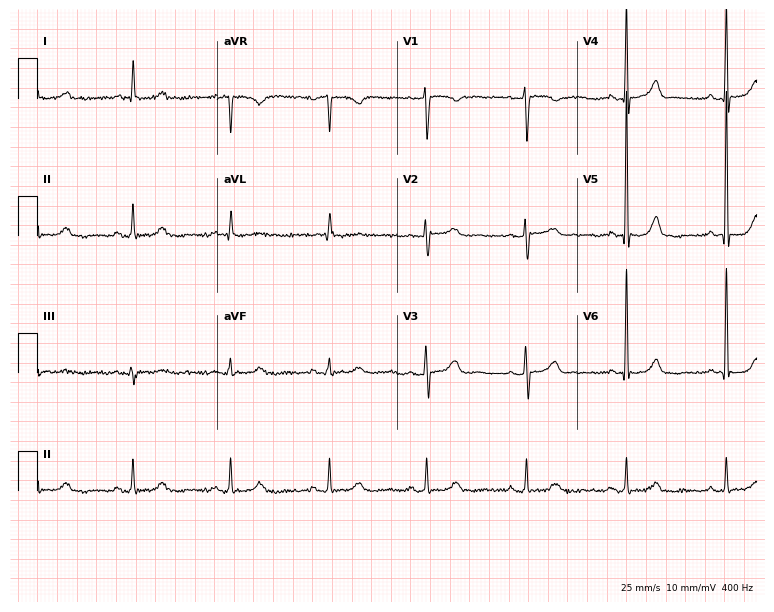
Electrocardiogram, a female patient, 72 years old. Of the six screened findings (first-degree AV block, right bundle branch block, left bundle branch block, sinus bradycardia, atrial fibrillation, sinus tachycardia), none is recorded. Only these six findings were labelled.